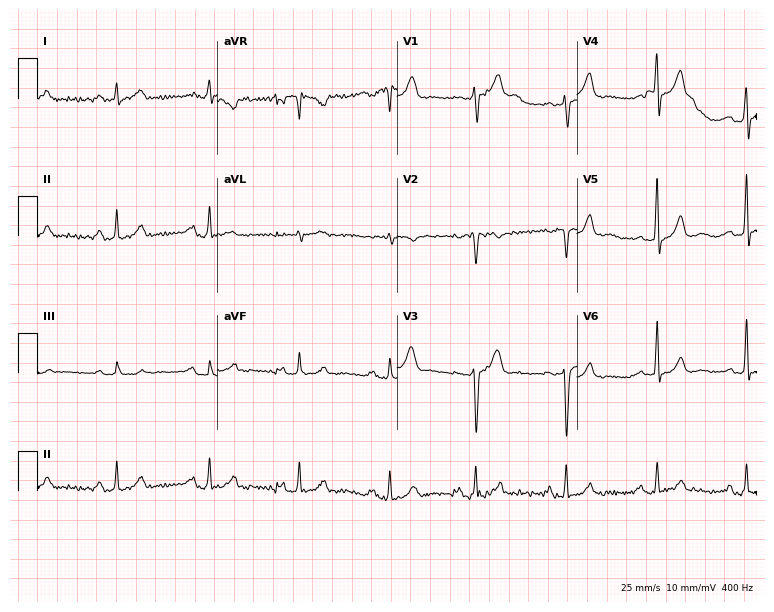
12-lead ECG (7.3-second recording at 400 Hz) from a male, 40 years old. Screened for six findings — first-degree AV block, right bundle branch block, left bundle branch block, sinus bradycardia, atrial fibrillation, sinus tachycardia — none is recorded.